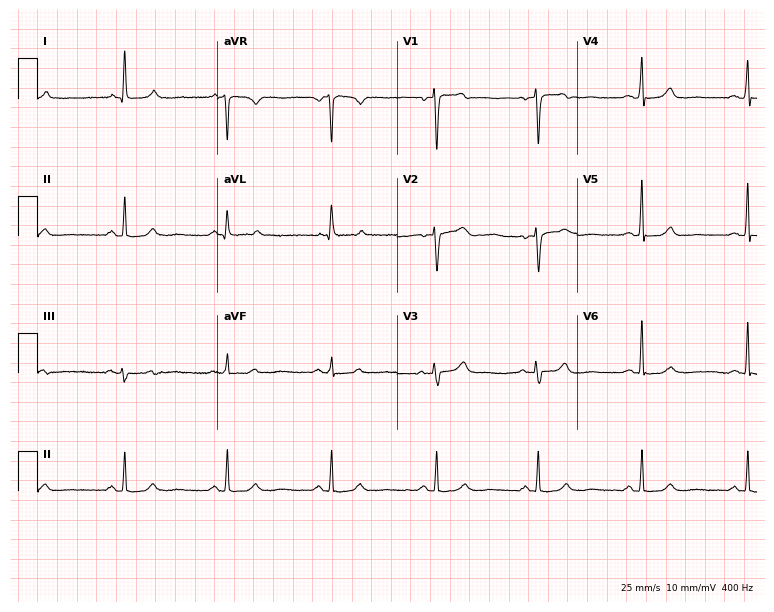
12-lead ECG from a 56-year-old female patient (7.3-second recording at 400 Hz). Recorded interpretation: within normal limits.